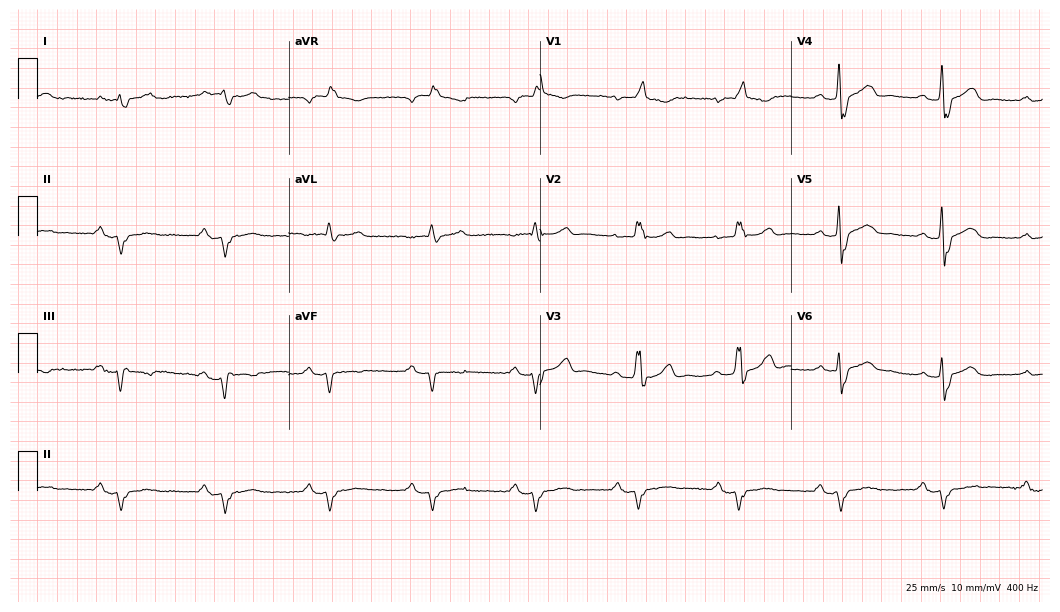
12-lead ECG from a 69-year-old male. Findings include first-degree AV block, right bundle branch block (RBBB).